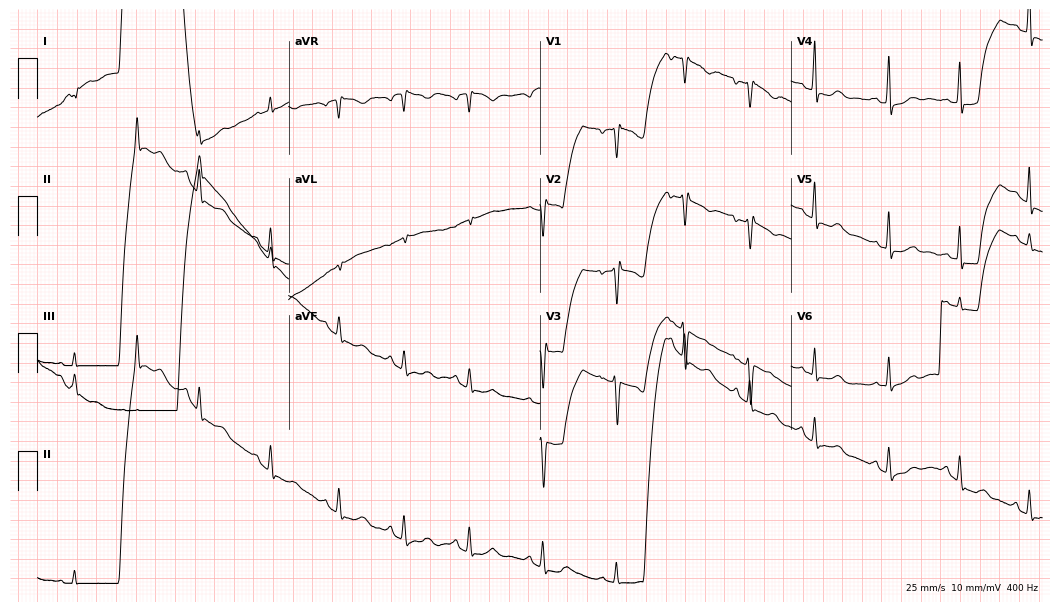
12-lead ECG from a female patient, 41 years old (10.2-second recording at 400 Hz). No first-degree AV block, right bundle branch block, left bundle branch block, sinus bradycardia, atrial fibrillation or sinus tachycardia recorded for this tracing. Other findings, if any, are not listed.